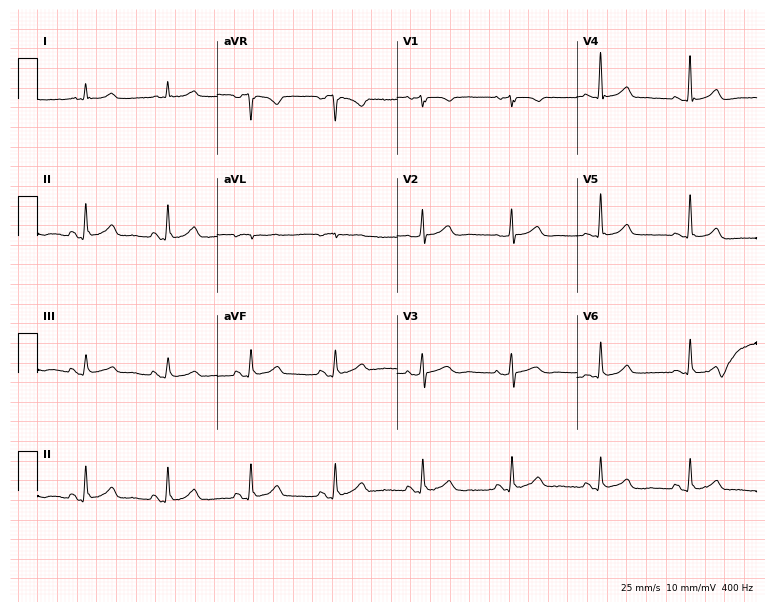
Standard 12-lead ECG recorded from an 81-year-old female (7.3-second recording at 400 Hz). None of these six findings is recorded: first-degree AV block, right bundle branch block, left bundle branch block, sinus bradycardia, atrial fibrillation, sinus tachycardia.